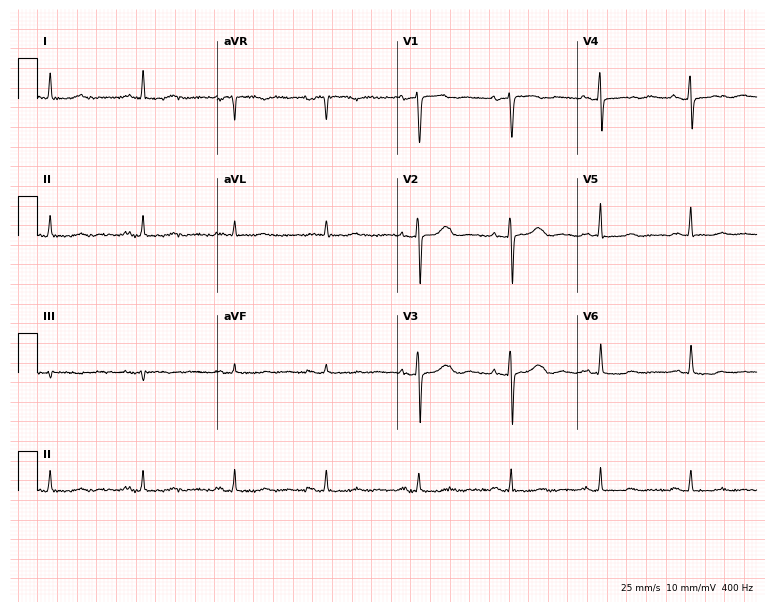
Standard 12-lead ECG recorded from a woman, 83 years old (7.3-second recording at 400 Hz). None of these six findings is recorded: first-degree AV block, right bundle branch block (RBBB), left bundle branch block (LBBB), sinus bradycardia, atrial fibrillation (AF), sinus tachycardia.